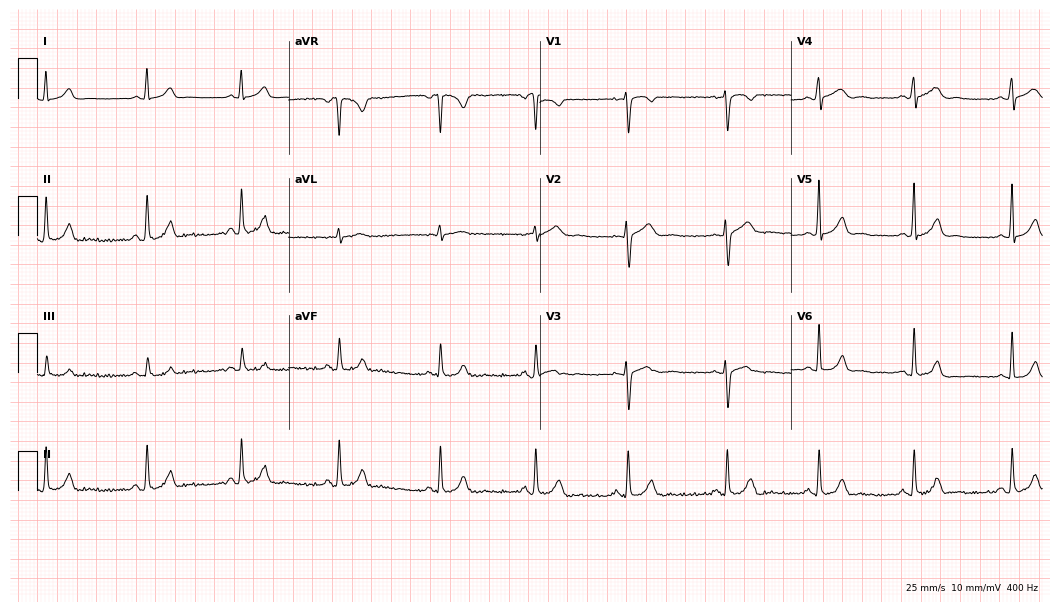
Electrocardiogram (10.2-second recording at 400 Hz), a 27-year-old female patient. Of the six screened findings (first-degree AV block, right bundle branch block (RBBB), left bundle branch block (LBBB), sinus bradycardia, atrial fibrillation (AF), sinus tachycardia), none is recorded.